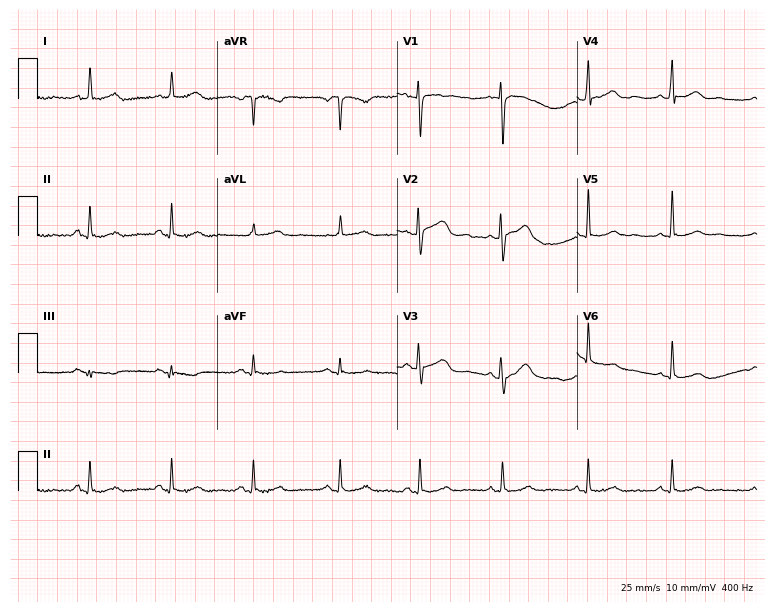
ECG — a woman, 52 years old. Screened for six findings — first-degree AV block, right bundle branch block, left bundle branch block, sinus bradycardia, atrial fibrillation, sinus tachycardia — none is recorded.